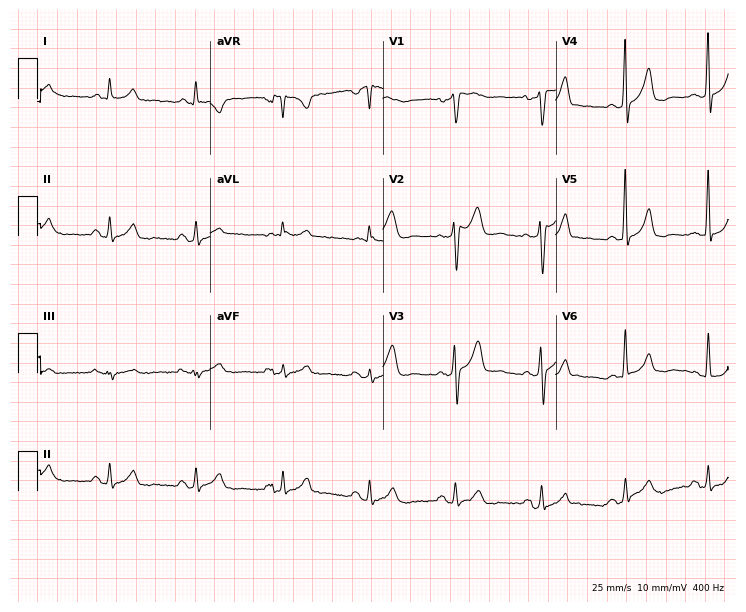
Electrocardiogram, a 50-year-old male patient. Of the six screened findings (first-degree AV block, right bundle branch block, left bundle branch block, sinus bradycardia, atrial fibrillation, sinus tachycardia), none is recorded. Findings outside these six are not listed.